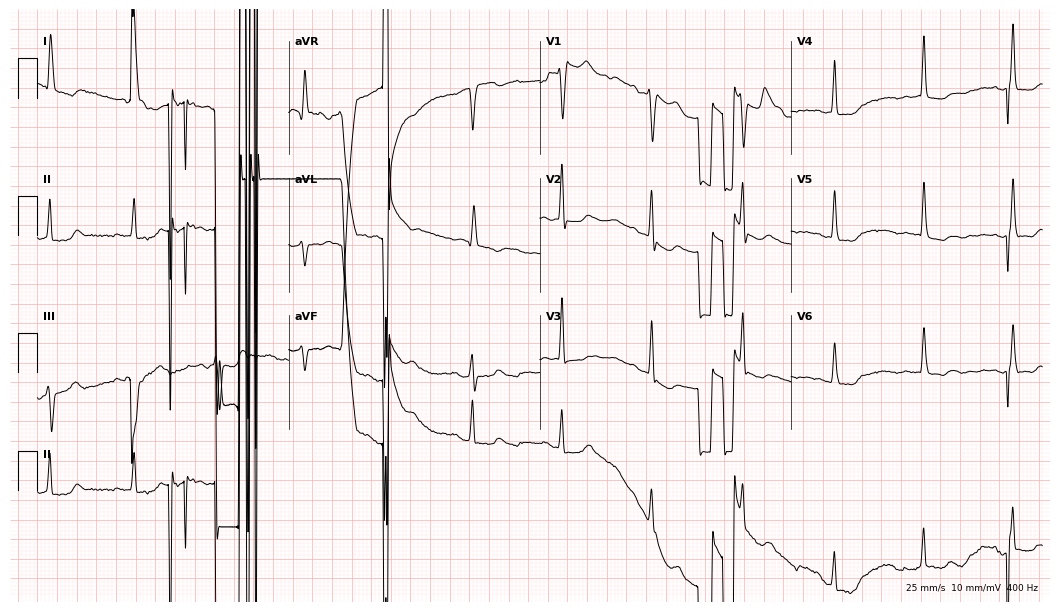
ECG (10.2-second recording at 400 Hz) — a 77-year-old female patient. Screened for six findings — first-degree AV block, right bundle branch block, left bundle branch block, sinus bradycardia, atrial fibrillation, sinus tachycardia — none is recorded.